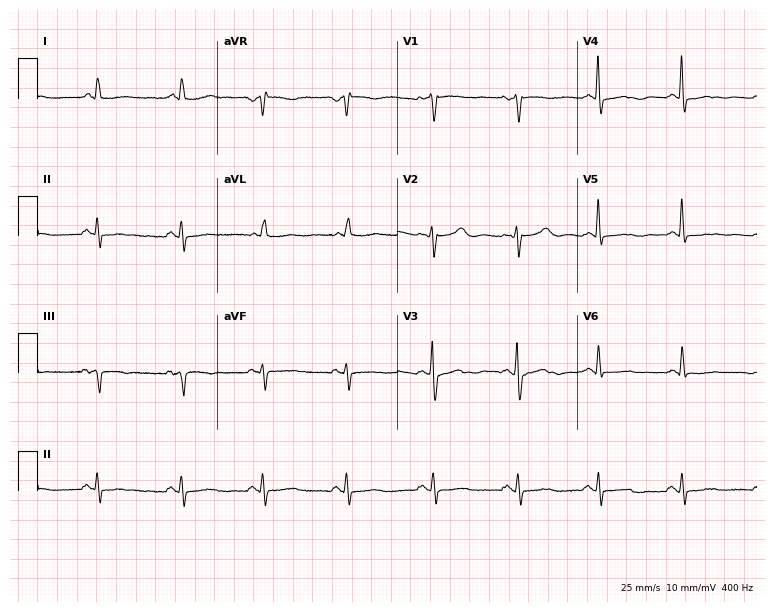
ECG (7.3-second recording at 400 Hz) — a female patient, 72 years old. Screened for six findings — first-degree AV block, right bundle branch block (RBBB), left bundle branch block (LBBB), sinus bradycardia, atrial fibrillation (AF), sinus tachycardia — none is recorded.